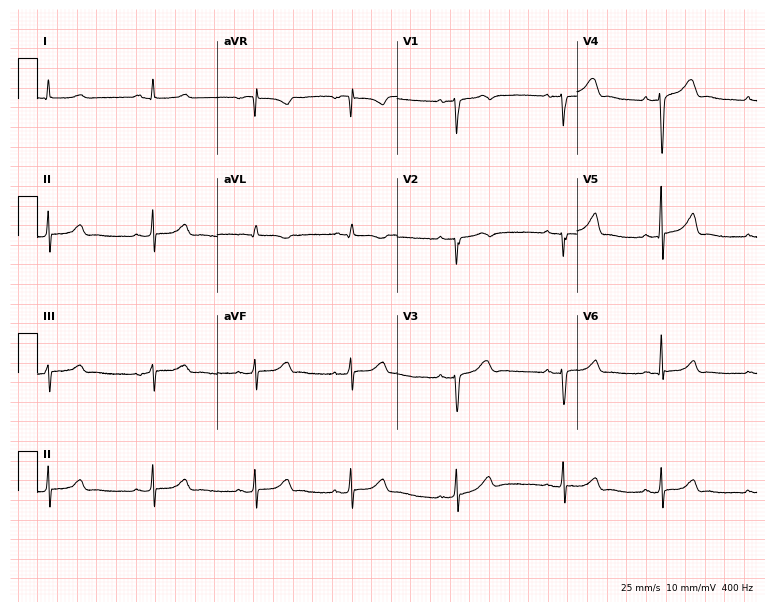
12-lead ECG from a woman, 28 years old. No first-degree AV block, right bundle branch block (RBBB), left bundle branch block (LBBB), sinus bradycardia, atrial fibrillation (AF) or sinus tachycardia recorded for this tracing. Findings outside these six are not listed.